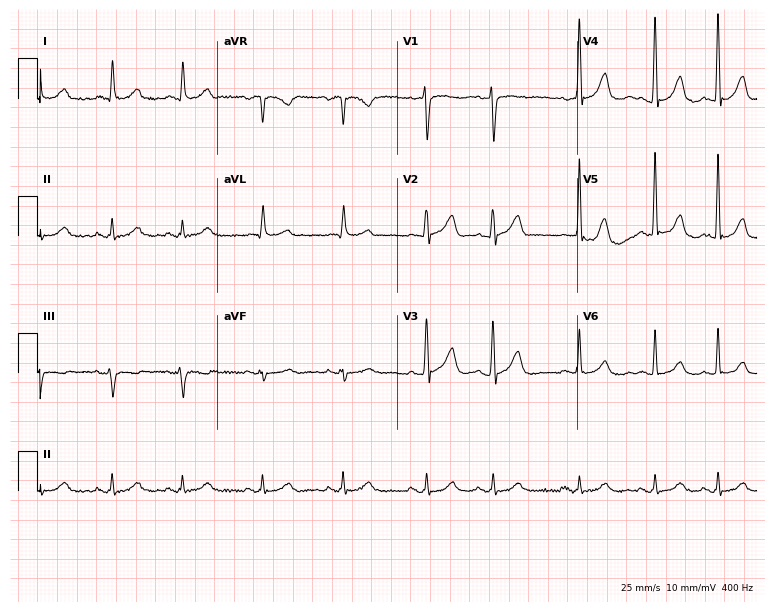
Electrocardiogram (7.3-second recording at 400 Hz), a male, 84 years old. Overall reading on record: normal ECG.